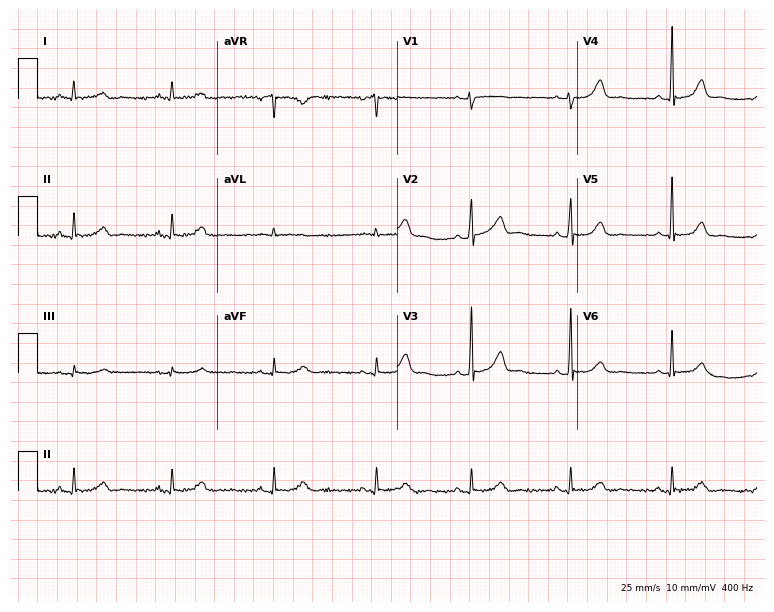
Standard 12-lead ECG recorded from a female patient, 55 years old (7.3-second recording at 400 Hz). Read as a normal ECG.